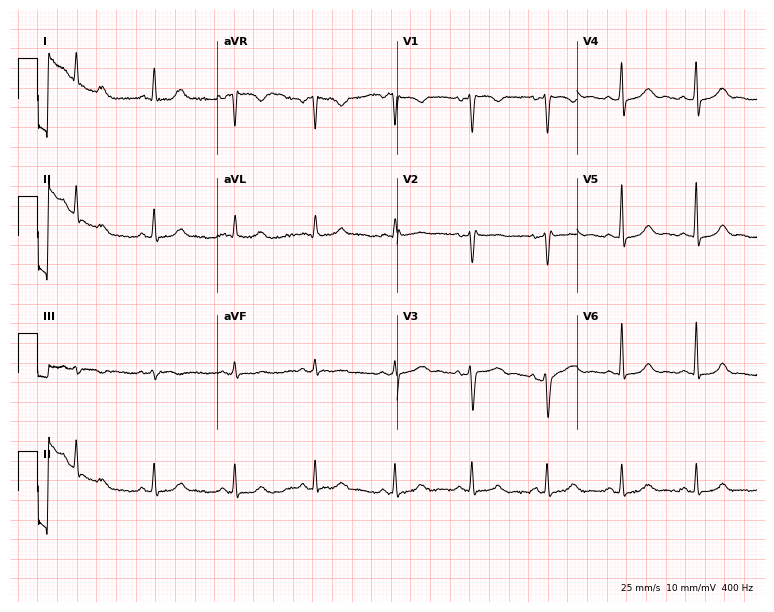
ECG (7.3-second recording at 400 Hz) — a female patient, 44 years old. Screened for six findings — first-degree AV block, right bundle branch block, left bundle branch block, sinus bradycardia, atrial fibrillation, sinus tachycardia — none is recorded. Findings outside these six are not listed.